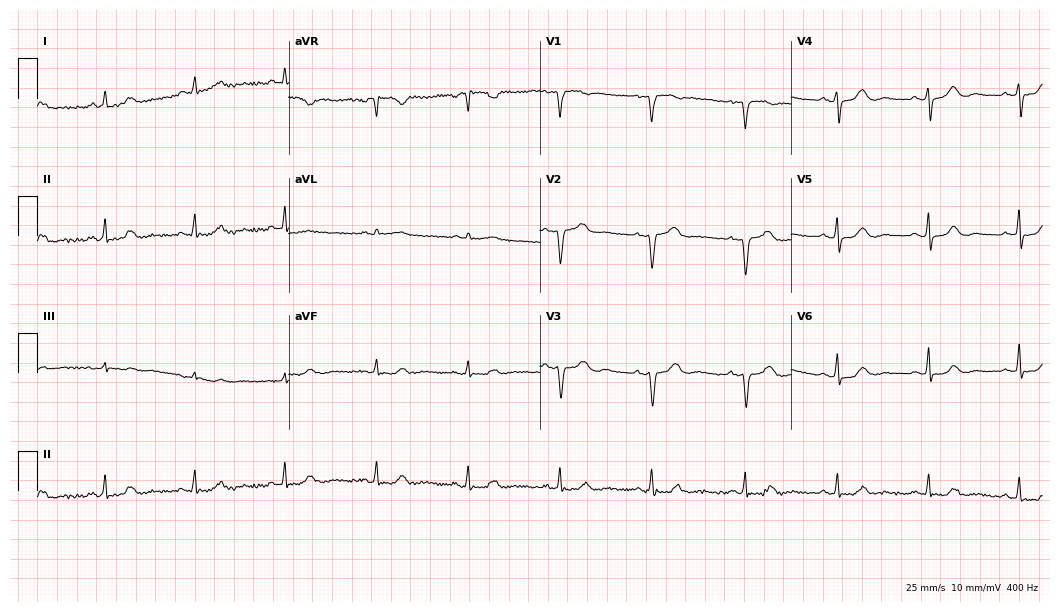
12-lead ECG (10.2-second recording at 400 Hz) from a 58-year-old female. Screened for six findings — first-degree AV block, right bundle branch block, left bundle branch block, sinus bradycardia, atrial fibrillation, sinus tachycardia — none is recorded.